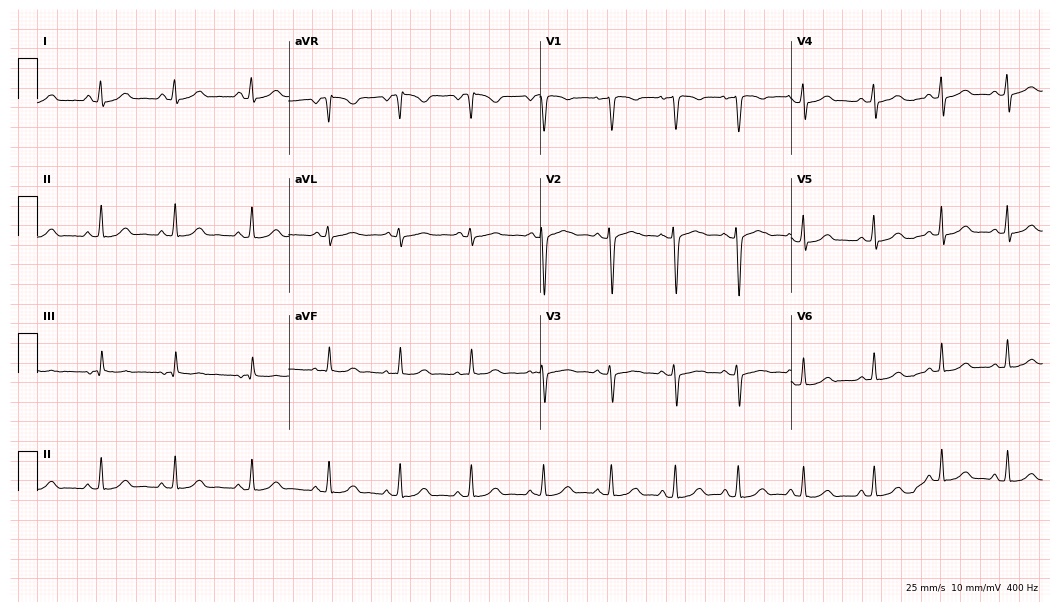
12-lead ECG from a woman, 19 years old. Recorded interpretation: within normal limits.